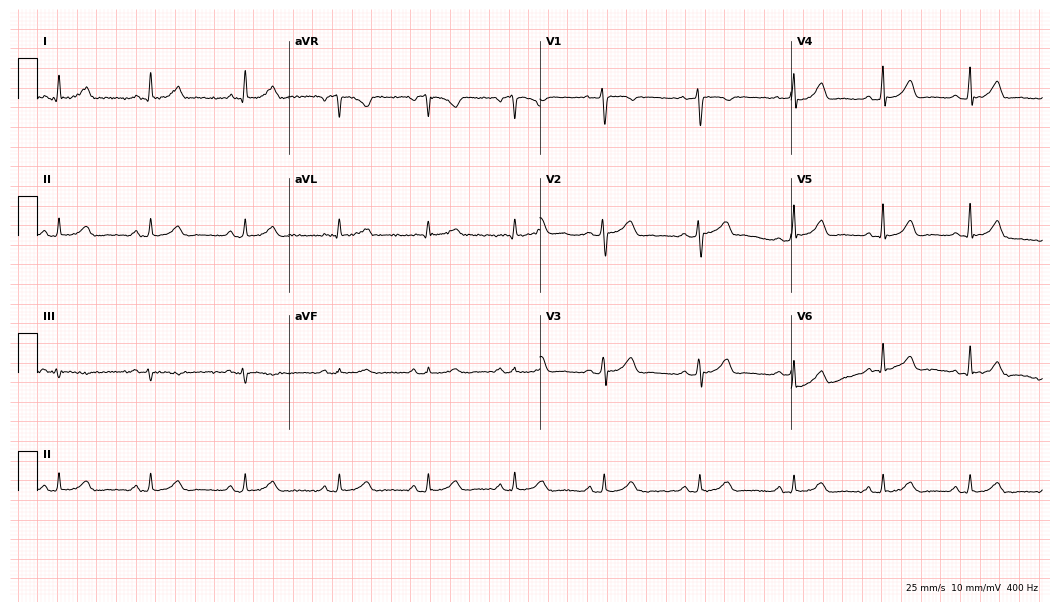
Standard 12-lead ECG recorded from a 40-year-old female. Read as a normal ECG.